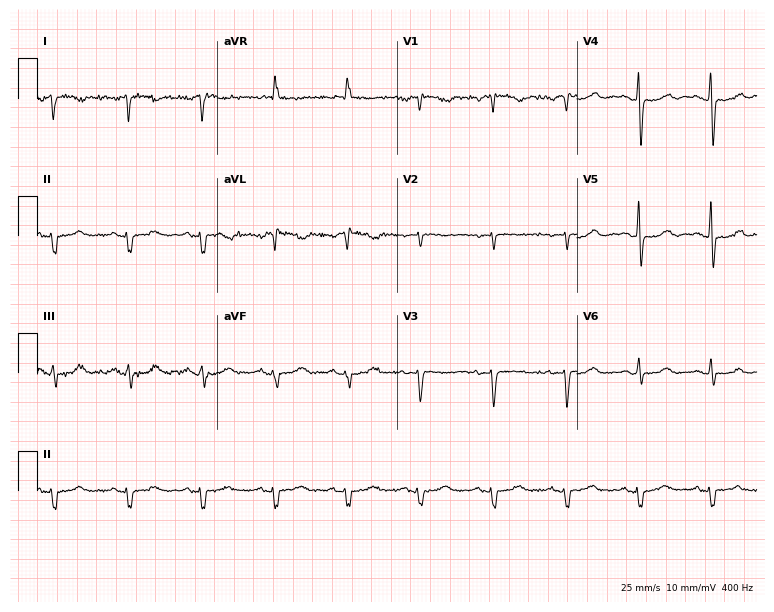
ECG — a 70-year-old female. Screened for six findings — first-degree AV block, right bundle branch block (RBBB), left bundle branch block (LBBB), sinus bradycardia, atrial fibrillation (AF), sinus tachycardia — none is recorded.